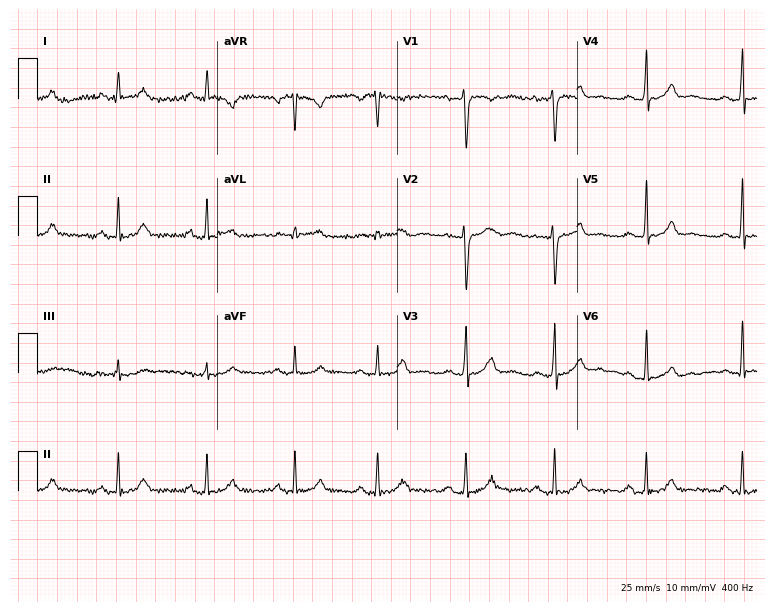
Standard 12-lead ECG recorded from a 41-year-old woman. None of these six findings is recorded: first-degree AV block, right bundle branch block, left bundle branch block, sinus bradycardia, atrial fibrillation, sinus tachycardia.